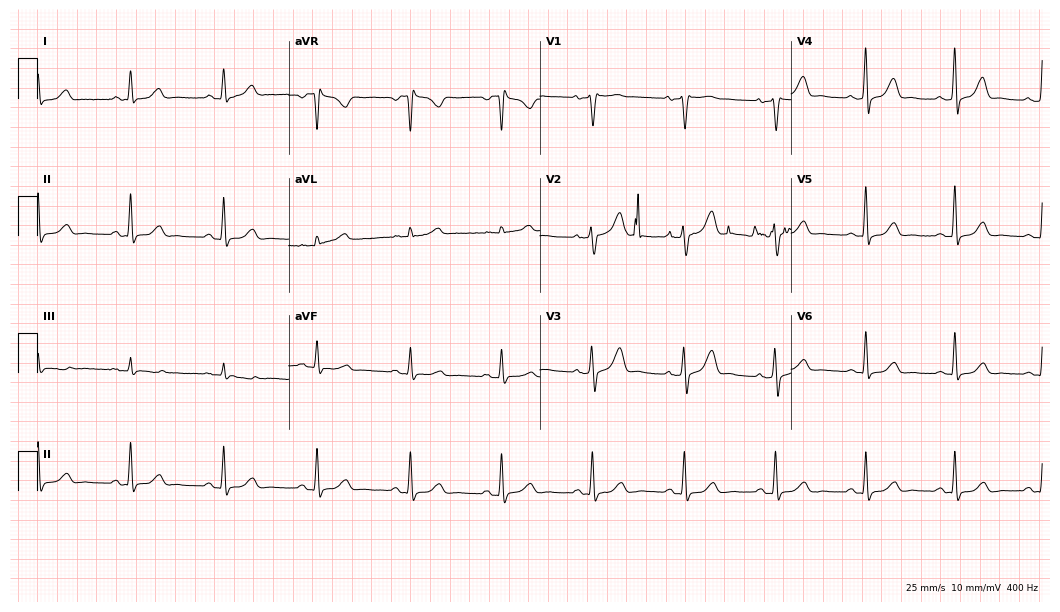
Resting 12-lead electrocardiogram. Patient: a 54-year-old woman. None of these six findings is recorded: first-degree AV block, right bundle branch block, left bundle branch block, sinus bradycardia, atrial fibrillation, sinus tachycardia.